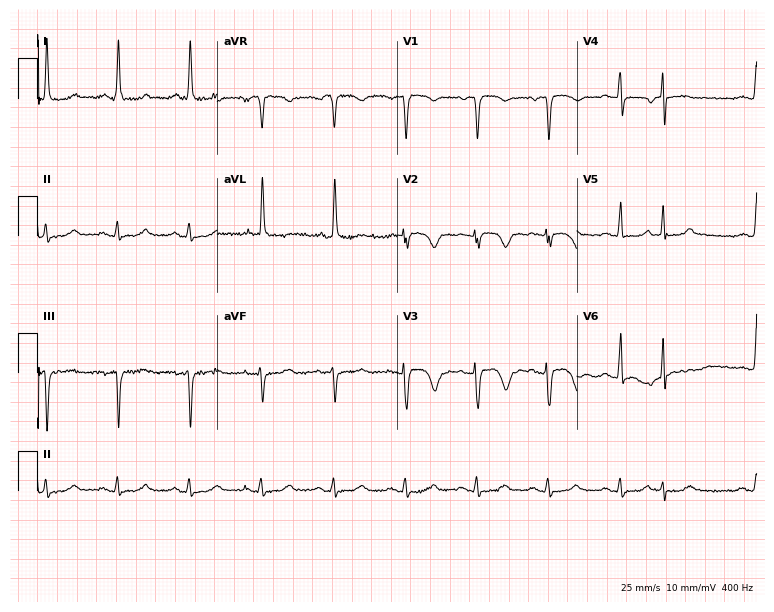
Resting 12-lead electrocardiogram (7.3-second recording at 400 Hz). Patient: a female, 79 years old. None of these six findings is recorded: first-degree AV block, right bundle branch block, left bundle branch block, sinus bradycardia, atrial fibrillation, sinus tachycardia.